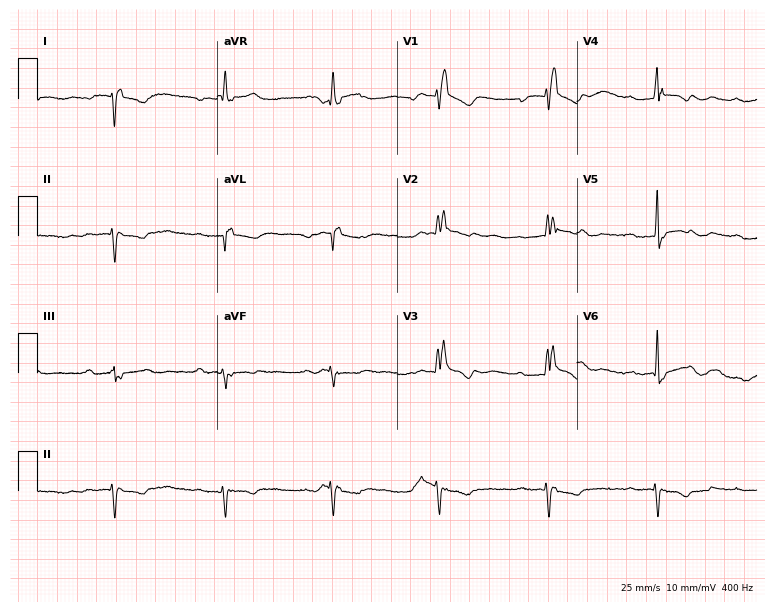
Resting 12-lead electrocardiogram (7.3-second recording at 400 Hz). Patient: a 58-year-old male. None of these six findings is recorded: first-degree AV block, right bundle branch block, left bundle branch block, sinus bradycardia, atrial fibrillation, sinus tachycardia.